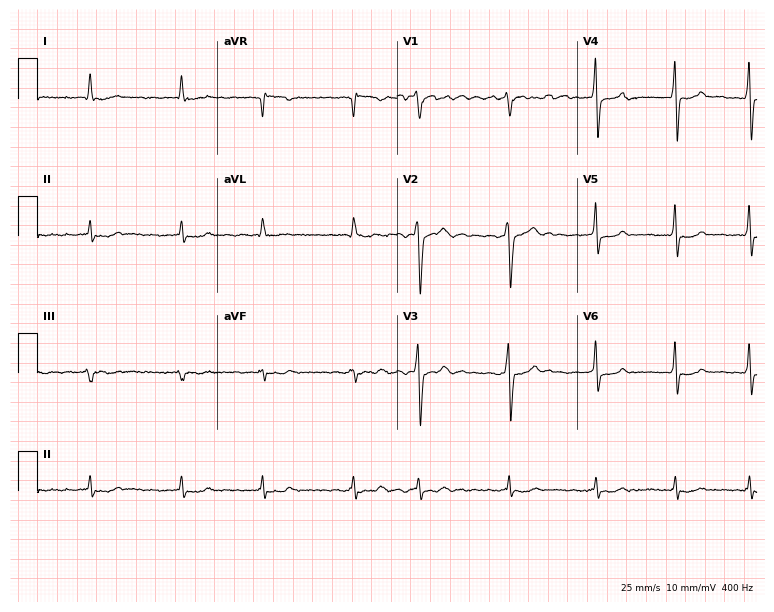
Resting 12-lead electrocardiogram. Patient: a male, 70 years old. The tracing shows atrial fibrillation.